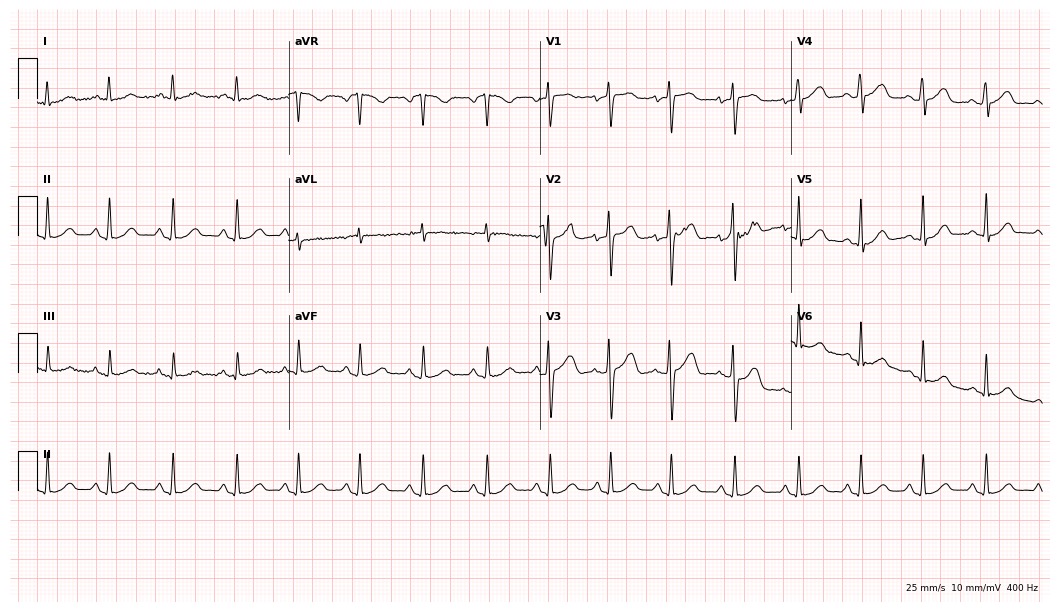
Standard 12-lead ECG recorded from a woman, 30 years old (10.2-second recording at 400 Hz). Read as a normal ECG.